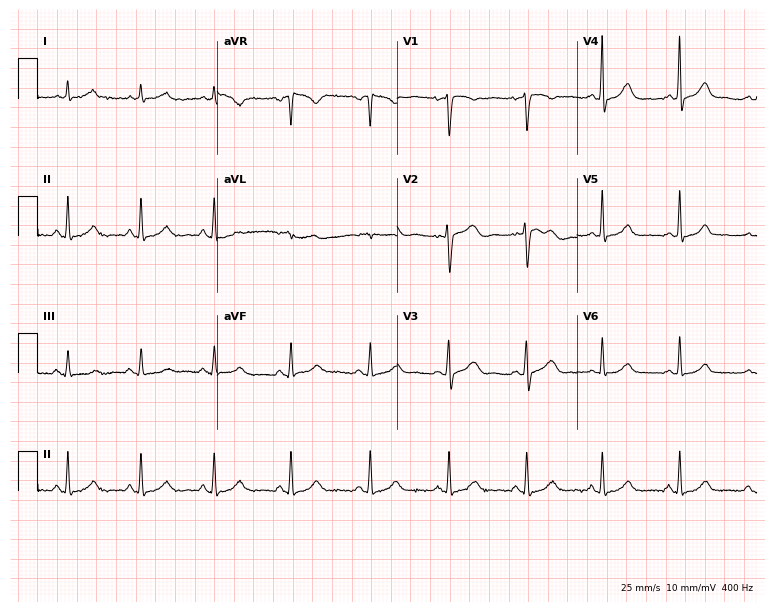
12-lead ECG (7.3-second recording at 400 Hz) from a female, 36 years old. Labelled as a normal ECG.